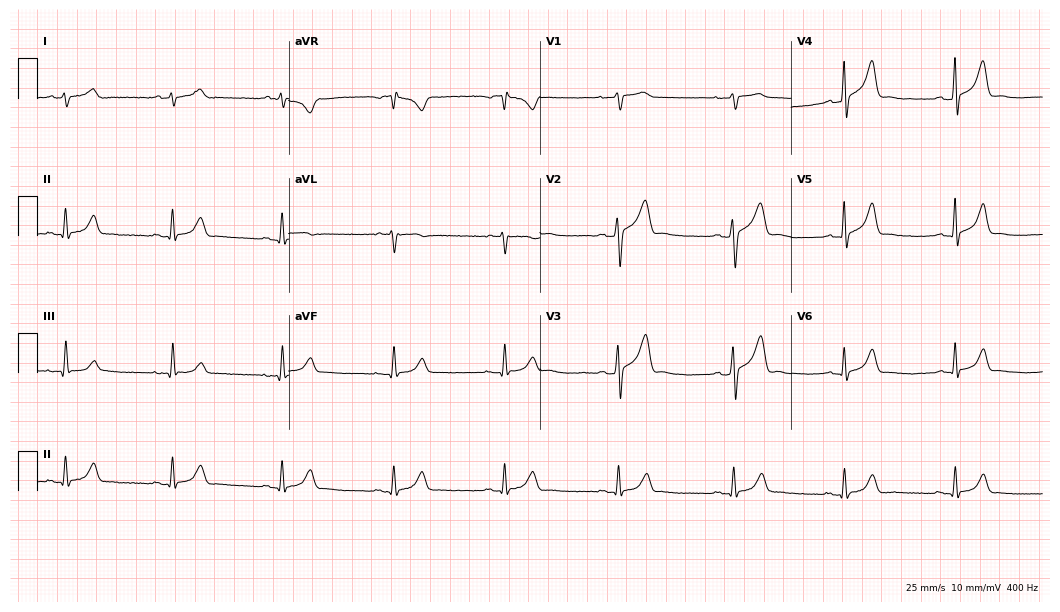
12-lead ECG (10.2-second recording at 400 Hz) from a 37-year-old male patient. Labelled as a normal ECG.